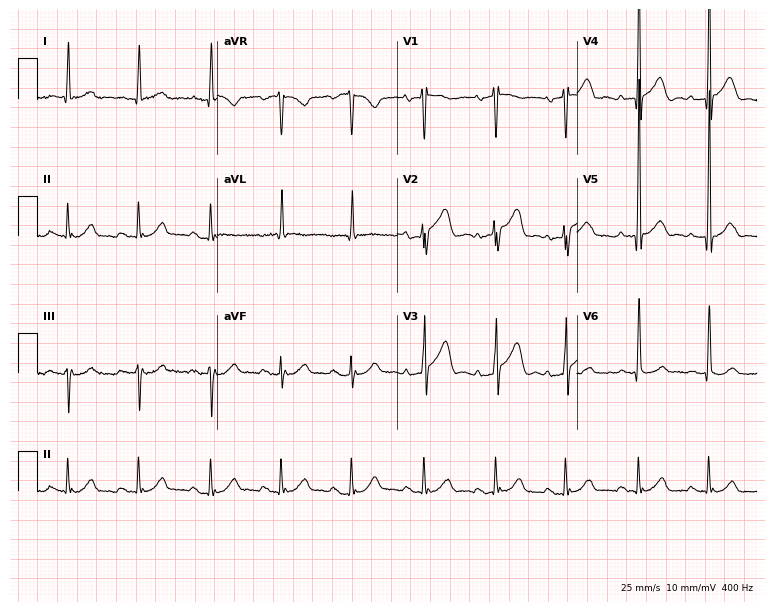
Standard 12-lead ECG recorded from an 82-year-old male patient (7.3-second recording at 400 Hz). None of these six findings is recorded: first-degree AV block, right bundle branch block, left bundle branch block, sinus bradycardia, atrial fibrillation, sinus tachycardia.